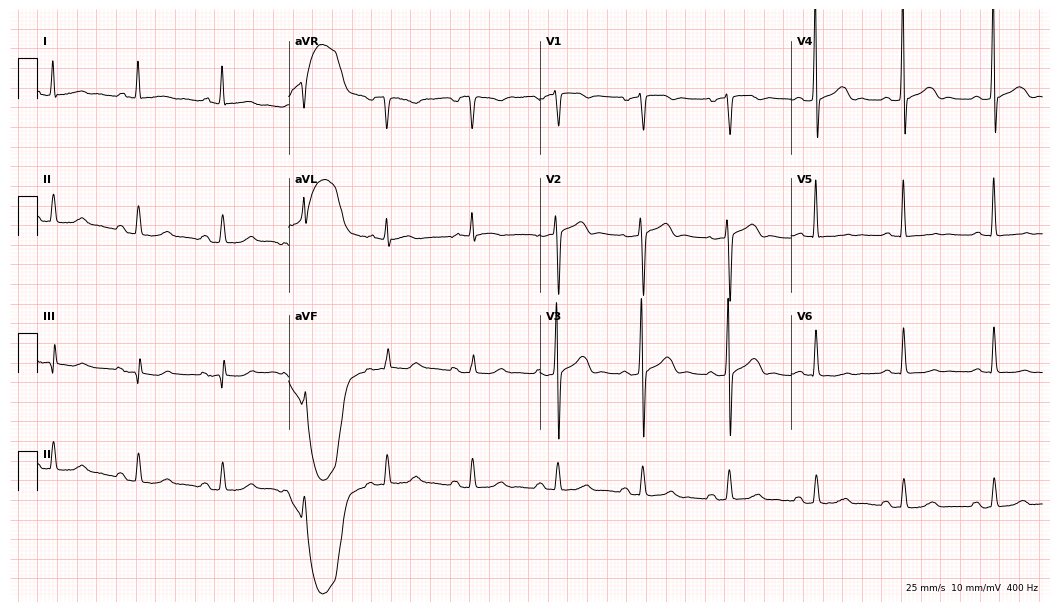
Resting 12-lead electrocardiogram (10.2-second recording at 400 Hz). Patient: a 68-year-old woman. None of these six findings is recorded: first-degree AV block, right bundle branch block, left bundle branch block, sinus bradycardia, atrial fibrillation, sinus tachycardia. Other findings, if any, are not listed.